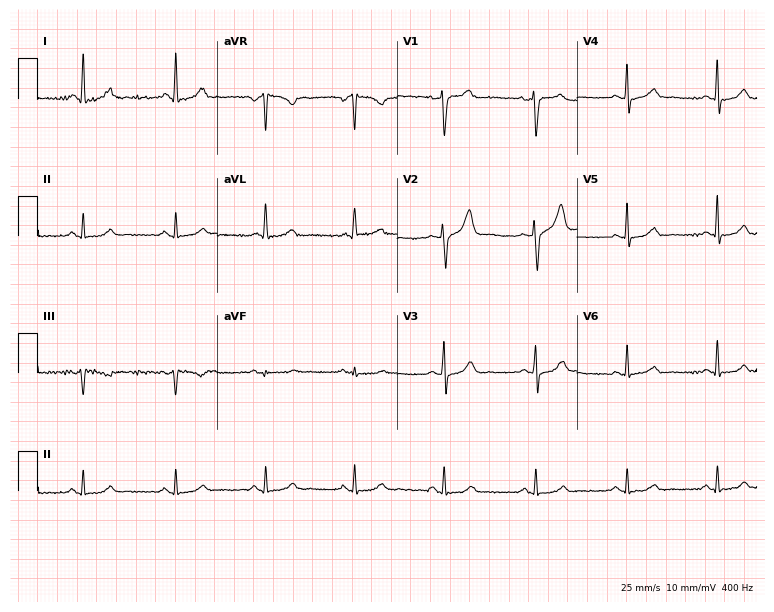
ECG (7.3-second recording at 400 Hz) — a 54-year-old female patient. Screened for six findings — first-degree AV block, right bundle branch block, left bundle branch block, sinus bradycardia, atrial fibrillation, sinus tachycardia — none is recorded.